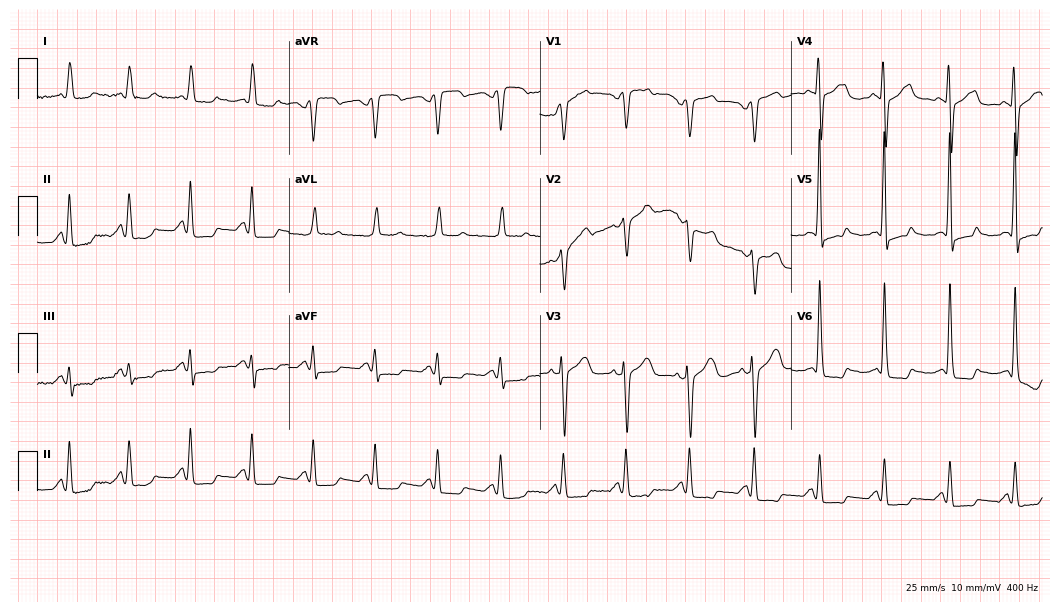
12-lead ECG (10.2-second recording at 400 Hz) from an 85-year-old female. Screened for six findings — first-degree AV block, right bundle branch block (RBBB), left bundle branch block (LBBB), sinus bradycardia, atrial fibrillation (AF), sinus tachycardia — none is recorded. Only these six findings were labelled.